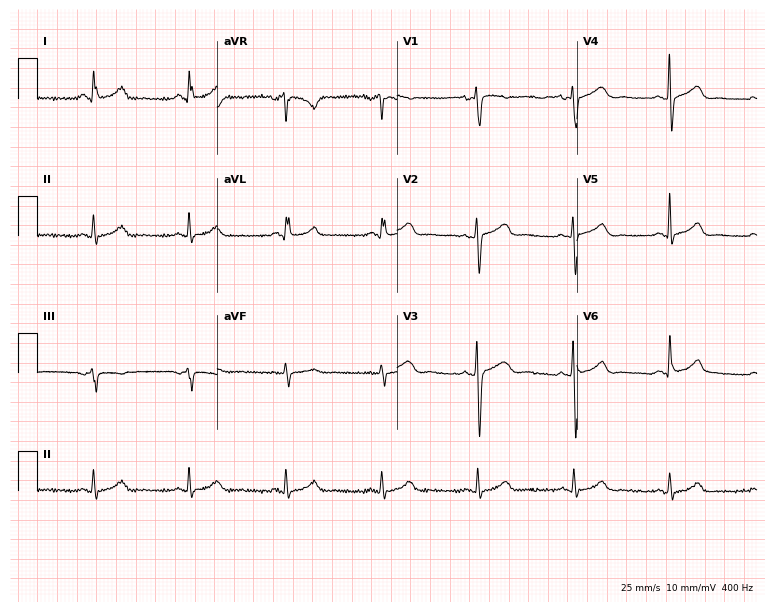
Electrocardiogram, a female patient, 45 years old. Overall reading on record: normal ECG.